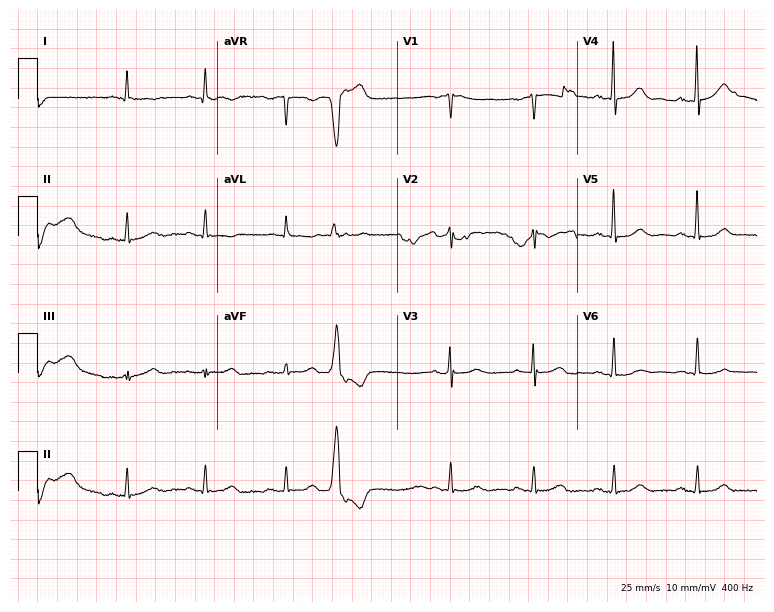
ECG (7.3-second recording at 400 Hz) — a female patient, 67 years old. Screened for six findings — first-degree AV block, right bundle branch block (RBBB), left bundle branch block (LBBB), sinus bradycardia, atrial fibrillation (AF), sinus tachycardia — none is recorded. Only these six findings were labelled.